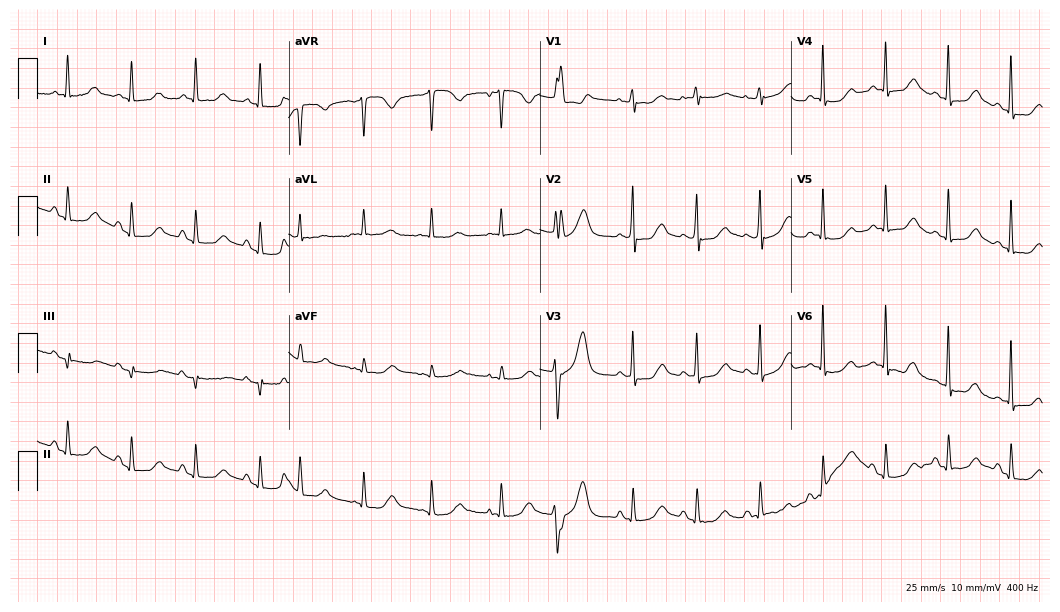
Standard 12-lead ECG recorded from a female, 85 years old. None of these six findings is recorded: first-degree AV block, right bundle branch block (RBBB), left bundle branch block (LBBB), sinus bradycardia, atrial fibrillation (AF), sinus tachycardia.